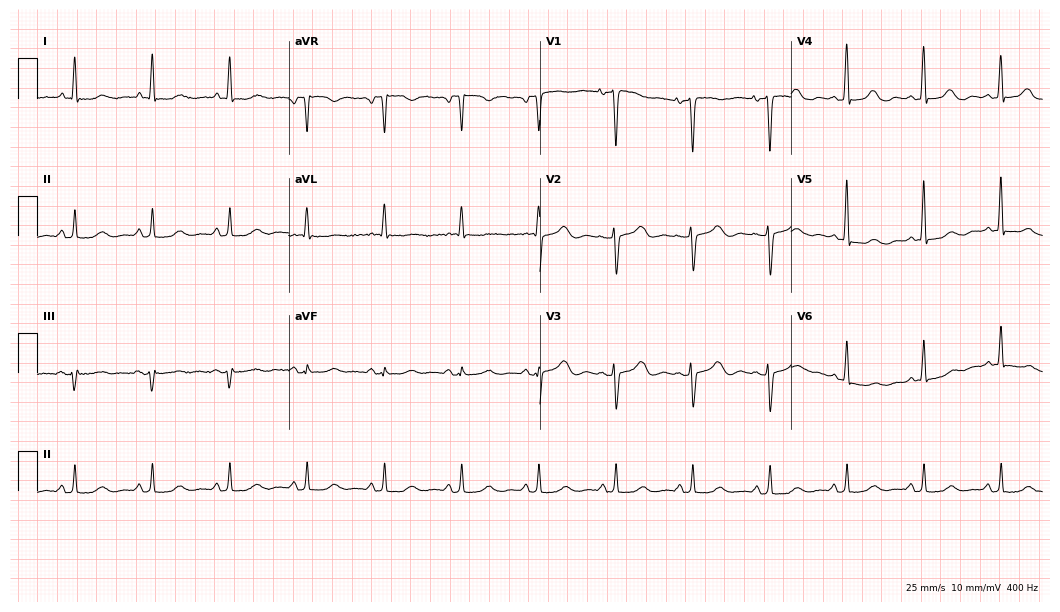
Electrocardiogram (10.2-second recording at 400 Hz), a woman, 51 years old. Of the six screened findings (first-degree AV block, right bundle branch block (RBBB), left bundle branch block (LBBB), sinus bradycardia, atrial fibrillation (AF), sinus tachycardia), none is recorded. Findings outside these six are not listed.